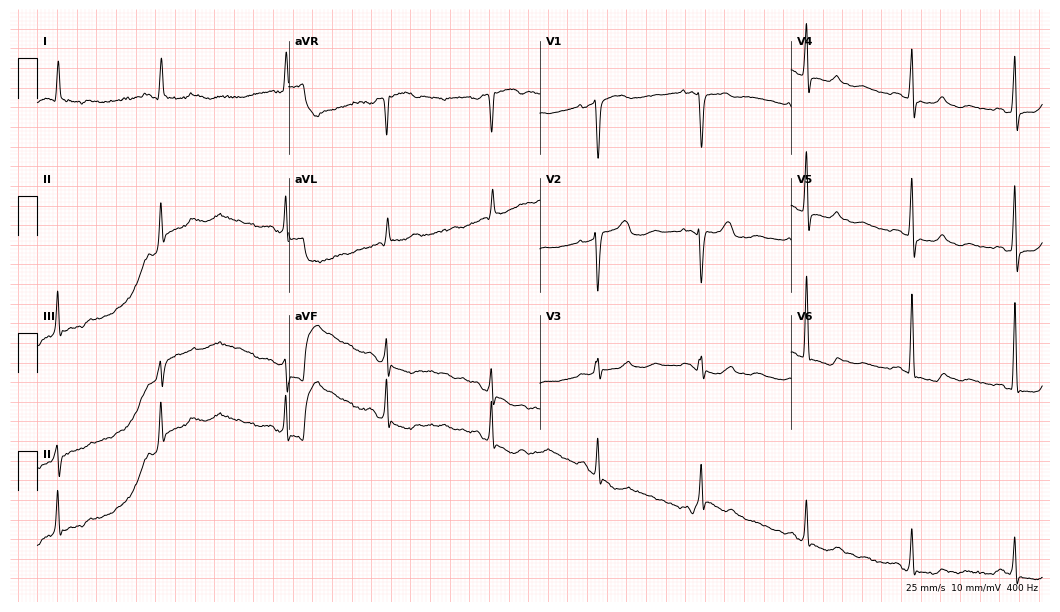
12-lead ECG from a female, 76 years old (10.2-second recording at 400 Hz). No first-degree AV block, right bundle branch block (RBBB), left bundle branch block (LBBB), sinus bradycardia, atrial fibrillation (AF) or sinus tachycardia recorded for this tracing.